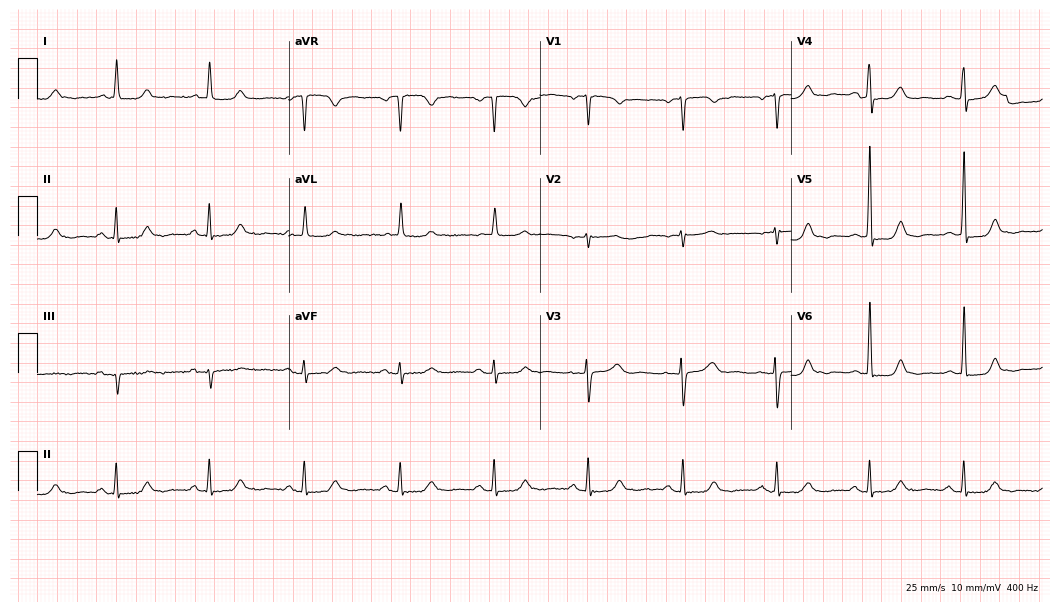
Electrocardiogram (10.2-second recording at 400 Hz), a 65-year-old woman. Of the six screened findings (first-degree AV block, right bundle branch block (RBBB), left bundle branch block (LBBB), sinus bradycardia, atrial fibrillation (AF), sinus tachycardia), none is recorded.